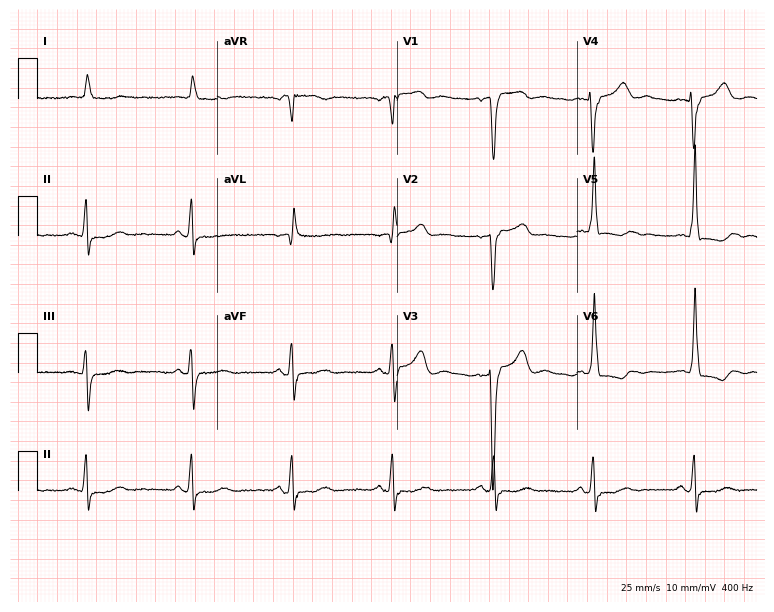
12-lead ECG from a 67-year-old female. Screened for six findings — first-degree AV block, right bundle branch block, left bundle branch block, sinus bradycardia, atrial fibrillation, sinus tachycardia — none is recorded.